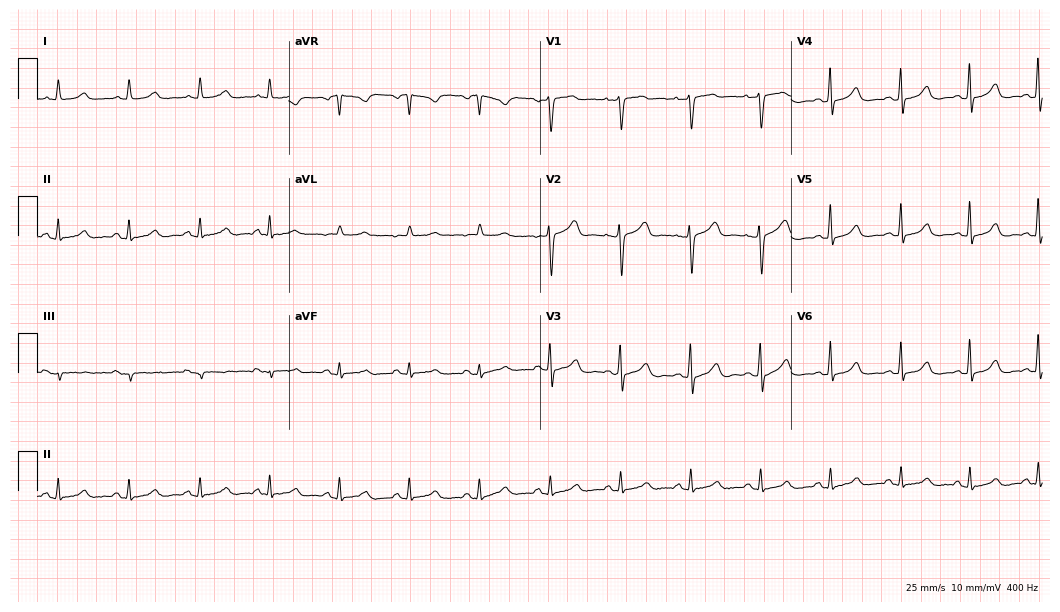
ECG (10.2-second recording at 400 Hz) — a 65-year-old female patient. Labelled as a normal ECG.